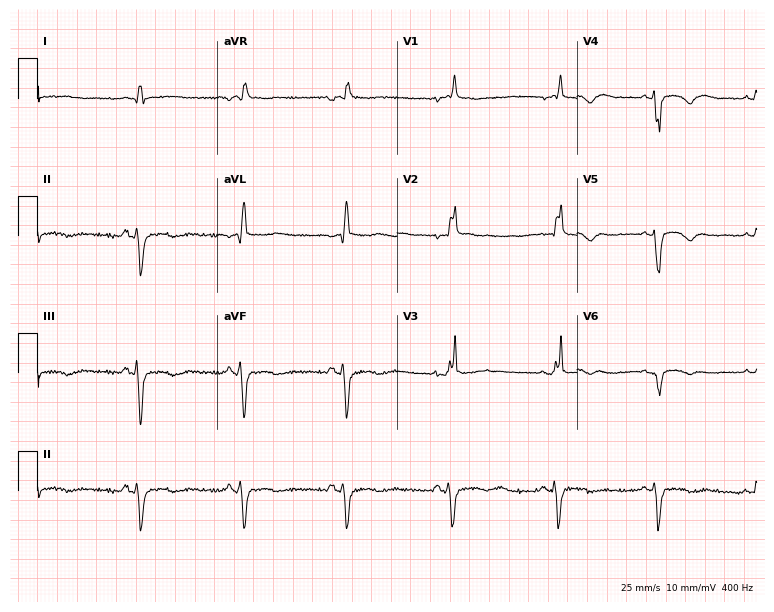
12-lead ECG from a 46-year-old female patient (7.3-second recording at 400 Hz). Shows right bundle branch block (RBBB).